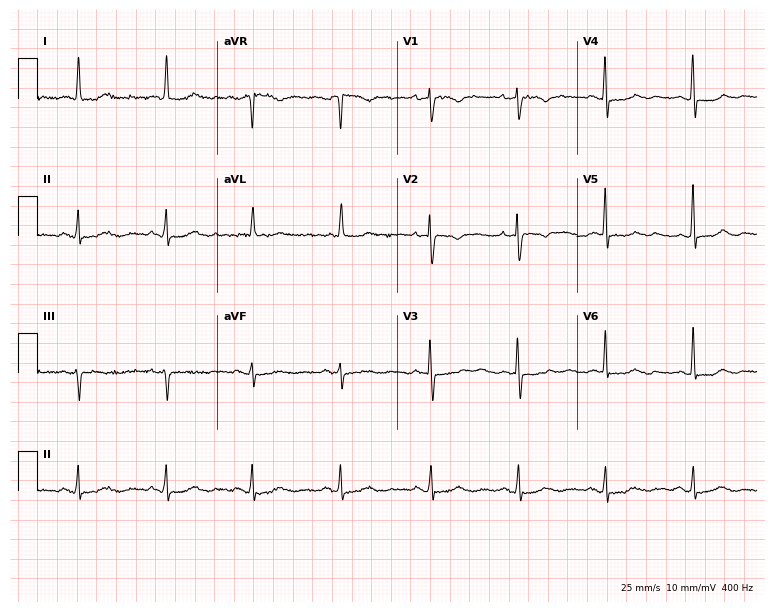
ECG (7.3-second recording at 400 Hz) — a 57-year-old female. Screened for six findings — first-degree AV block, right bundle branch block, left bundle branch block, sinus bradycardia, atrial fibrillation, sinus tachycardia — none is recorded.